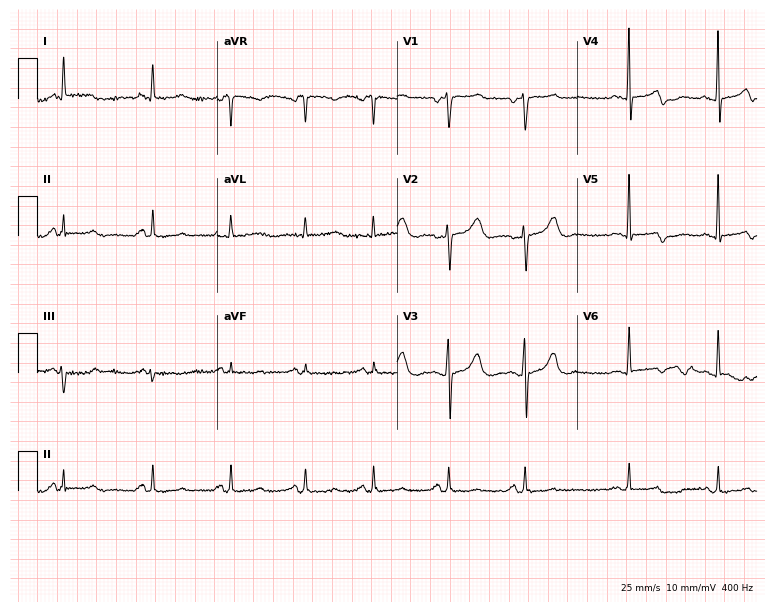
ECG (7.3-second recording at 400 Hz) — a 64-year-old female. Screened for six findings — first-degree AV block, right bundle branch block, left bundle branch block, sinus bradycardia, atrial fibrillation, sinus tachycardia — none is recorded.